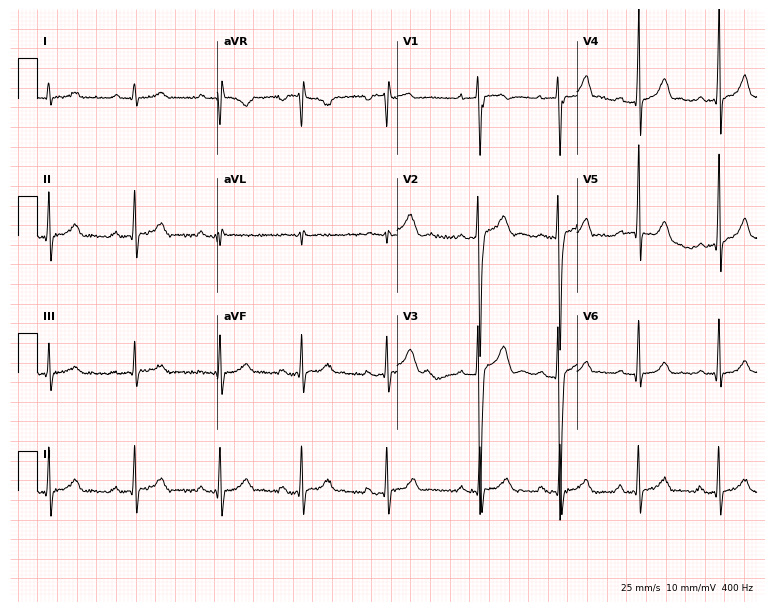
12-lead ECG from a man, 18 years old (7.3-second recording at 400 Hz). Recorded interpretation: within normal limits.